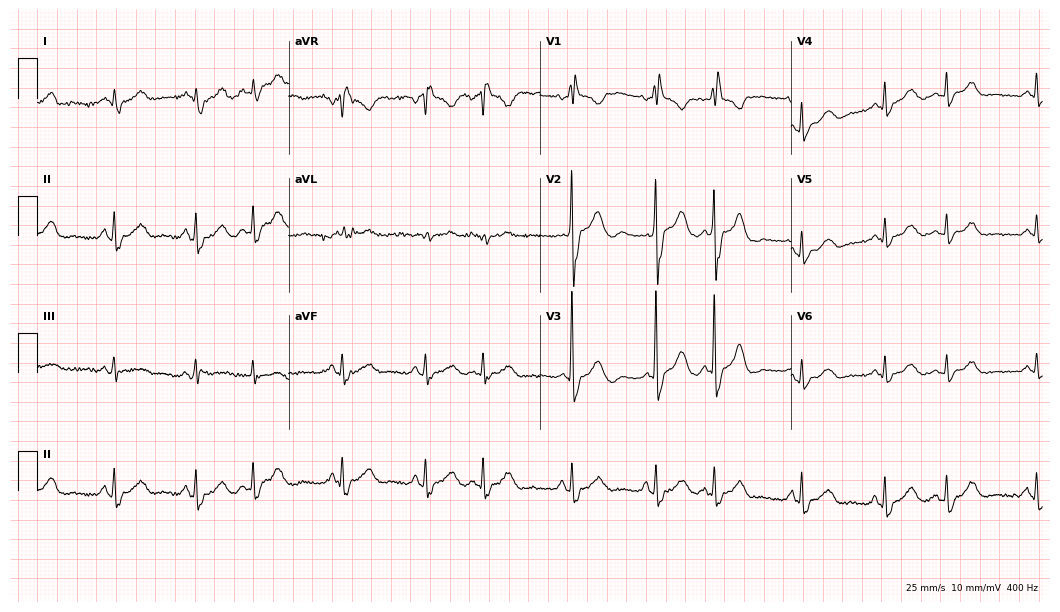
Resting 12-lead electrocardiogram (10.2-second recording at 400 Hz). Patient: an 82-year-old female. None of these six findings is recorded: first-degree AV block, right bundle branch block (RBBB), left bundle branch block (LBBB), sinus bradycardia, atrial fibrillation (AF), sinus tachycardia.